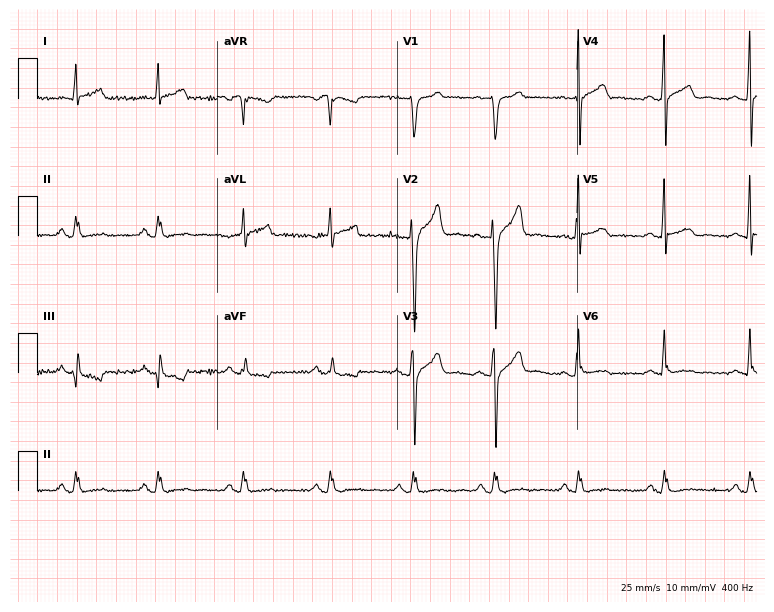
Electrocardiogram, a 43-year-old male. Overall reading on record: normal ECG.